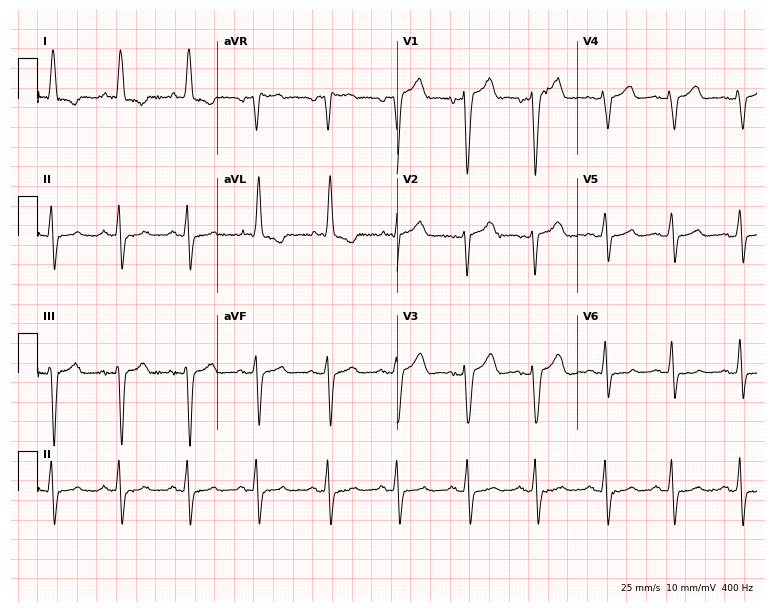
Standard 12-lead ECG recorded from a 65-year-old male patient. None of these six findings is recorded: first-degree AV block, right bundle branch block (RBBB), left bundle branch block (LBBB), sinus bradycardia, atrial fibrillation (AF), sinus tachycardia. Only these six findings were labelled.